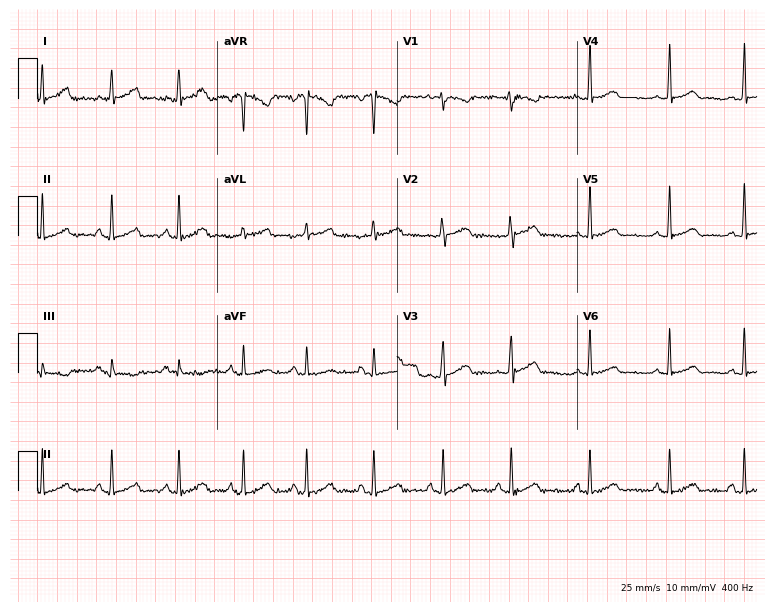
Electrocardiogram (7.3-second recording at 400 Hz), a 44-year-old female patient. Overall reading on record: normal ECG.